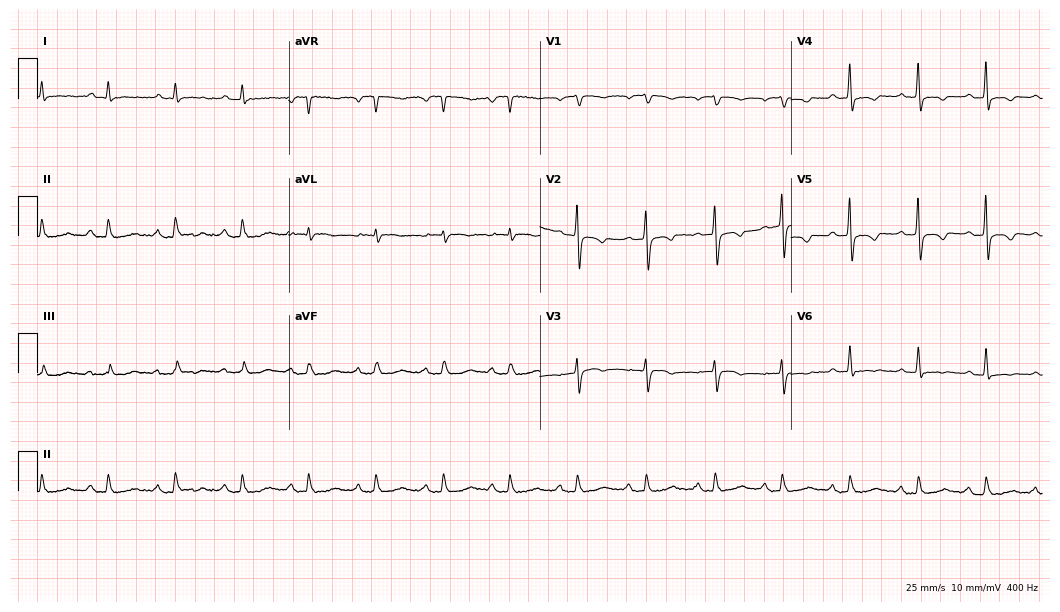
12-lead ECG from an 82-year-old man (10.2-second recording at 400 Hz). No first-degree AV block, right bundle branch block (RBBB), left bundle branch block (LBBB), sinus bradycardia, atrial fibrillation (AF) or sinus tachycardia recorded for this tracing.